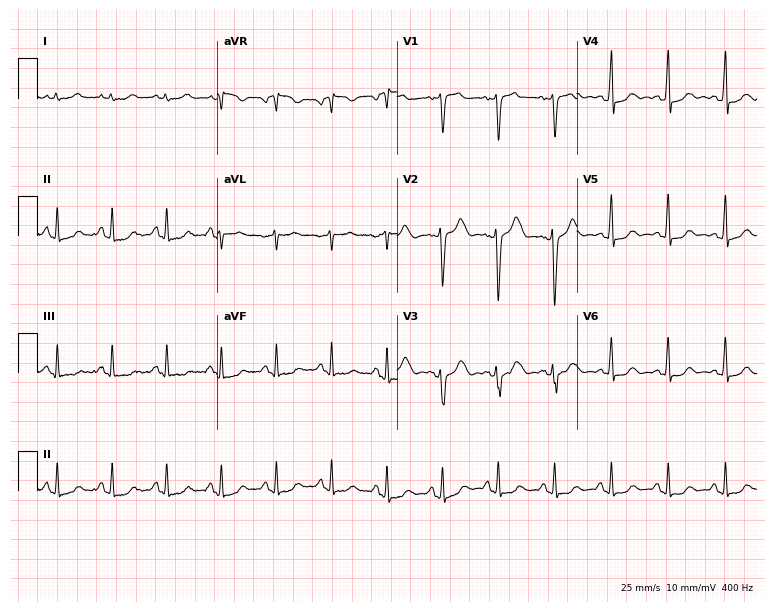
Electrocardiogram (7.3-second recording at 400 Hz), a 45-year-old female. Interpretation includes sinus tachycardia (a sinus rate of 100 beats per minute or more).